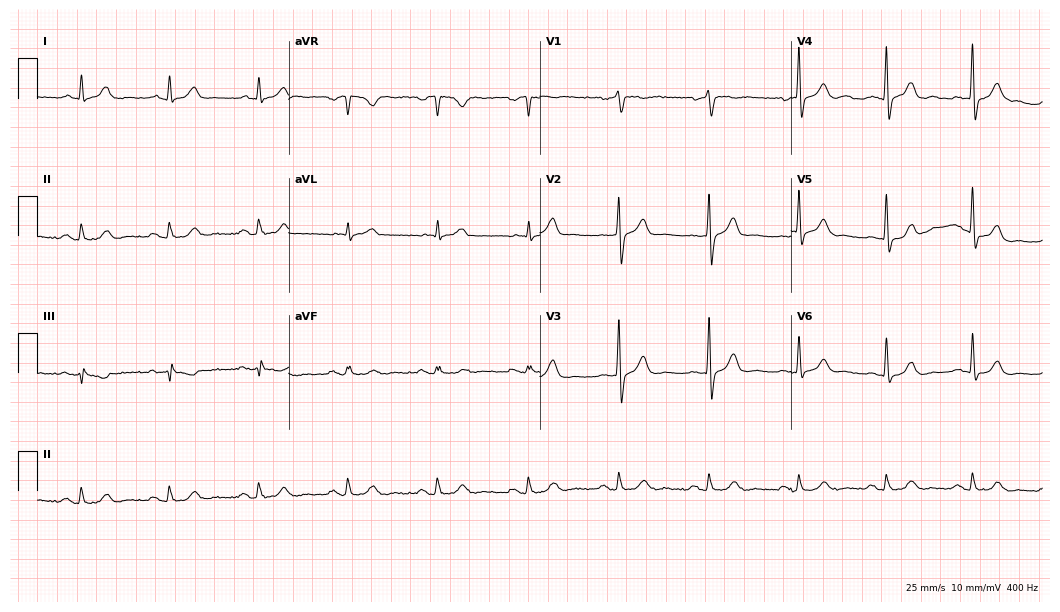
ECG — a 75-year-old male patient. Screened for six findings — first-degree AV block, right bundle branch block (RBBB), left bundle branch block (LBBB), sinus bradycardia, atrial fibrillation (AF), sinus tachycardia — none is recorded. Other findings, if any, are not listed.